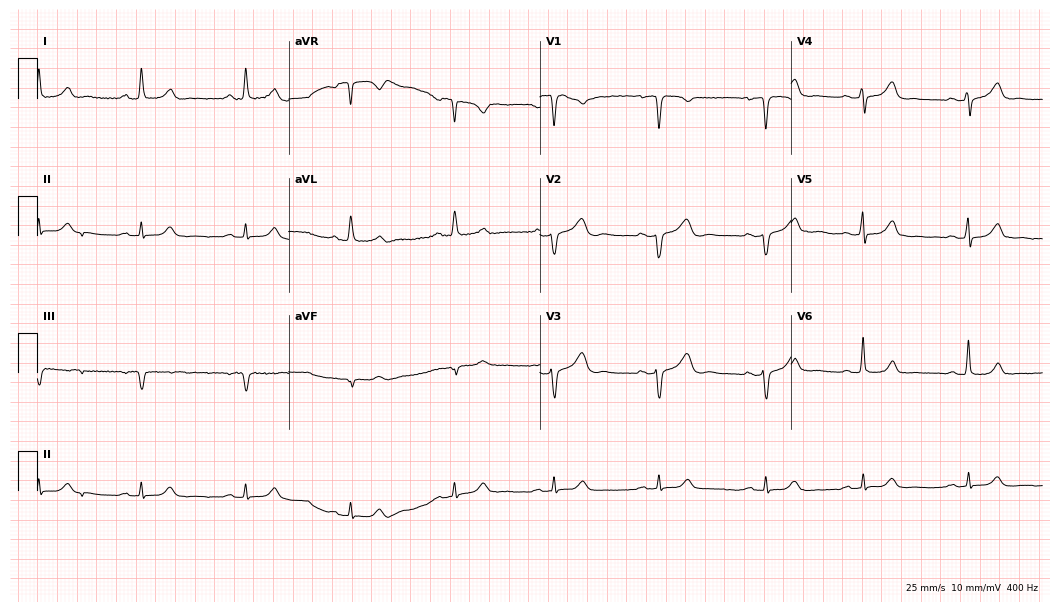
Electrocardiogram, a 24-year-old woman. Overall reading on record: normal ECG.